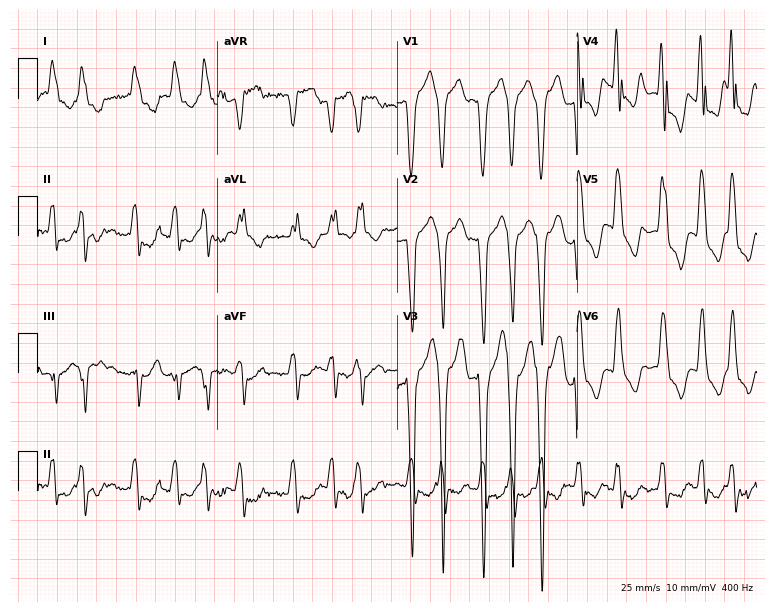
ECG — a male patient, 80 years old. Findings include left bundle branch block (LBBB), atrial fibrillation (AF).